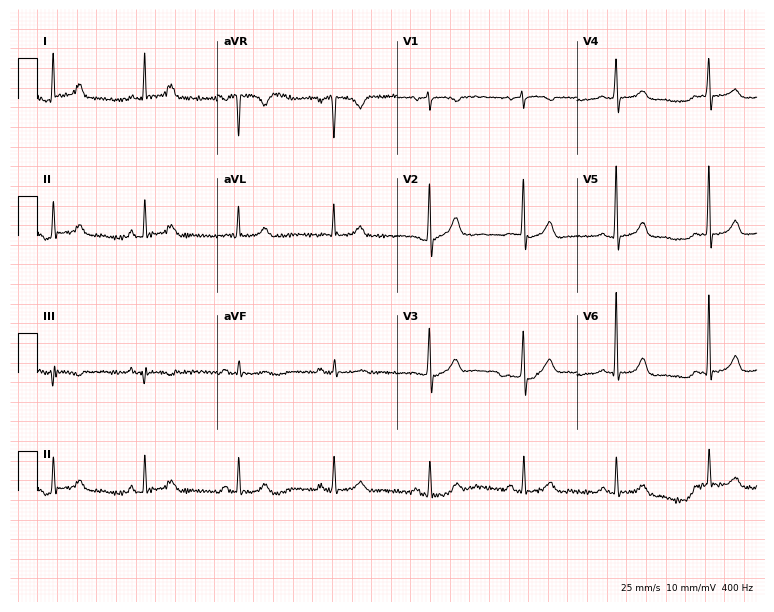
Electrocardiogram (7.3-second recording at 400 Hz), a 70-year-old woman. Overall reading on record: normal ECG.